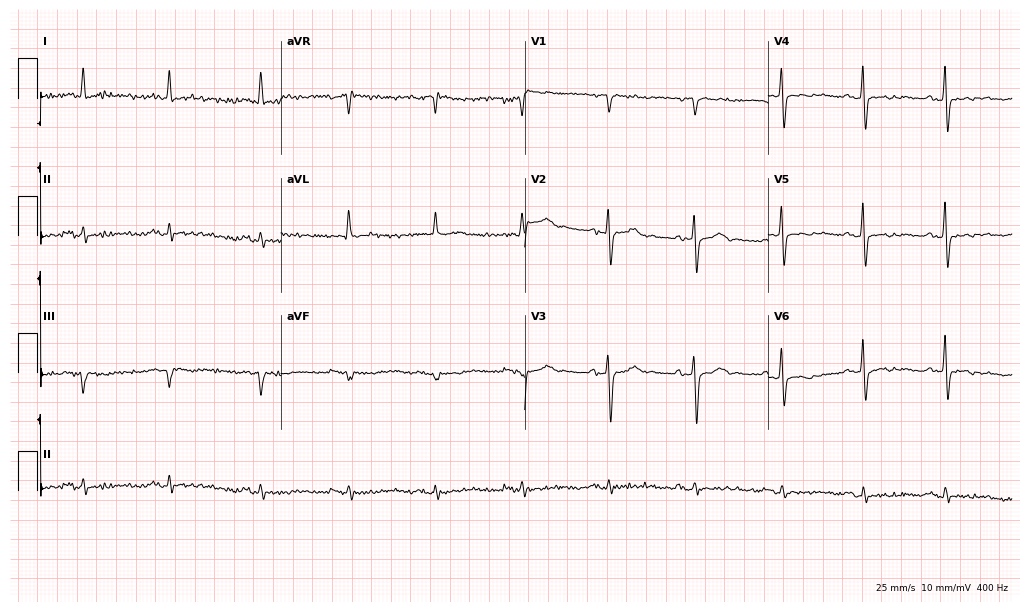
12-lead ECG from a male patient, 82 years old (9.9-second recording at 400 Hz). No first-degree AV block, right bundle branch block, left bundle branch block, sinus bradycardia, atrial fibrillation or sinus tachycardia recorded for this tracing.